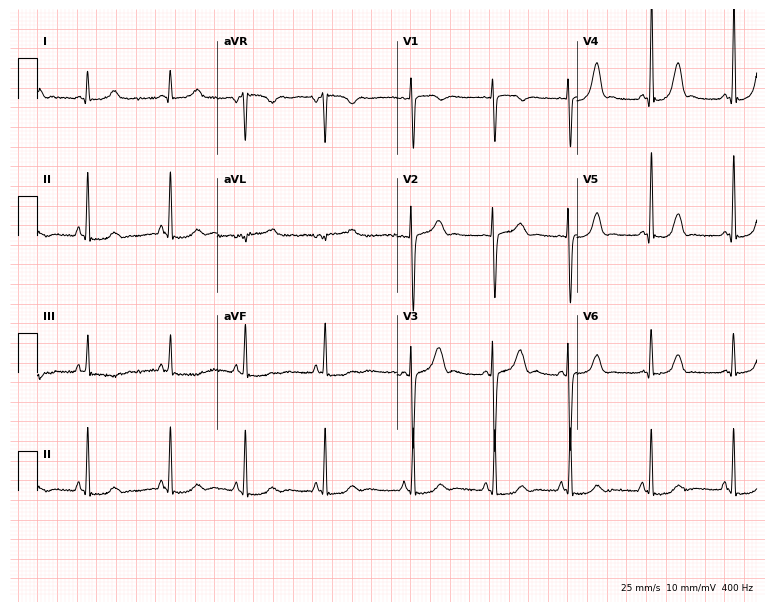
Resting 12-lead electrocardiogram (7.3-second recording at 400 Hz). Patient: a female, 21 years old. None of these six findings is recorded: first-degree AV block, right bundle branch block (RBBB), left bundle branch block (LBBB), sinus bradycardia, atrial fibrillation (AF), sinus tachycardia. Only these six findings were labelled.